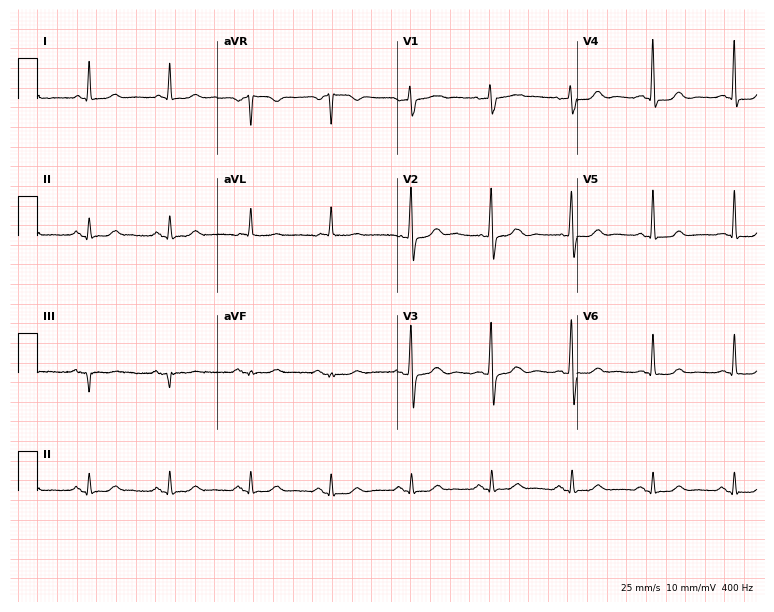
12-lead ECG from a female, 83 years old. Recorded interpretation: within normal limits.